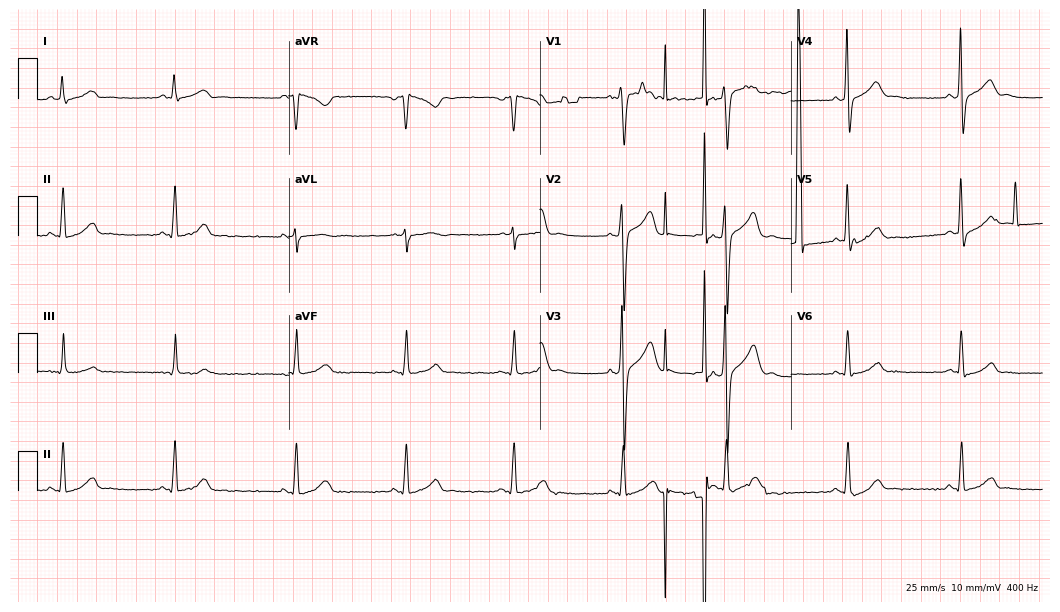
Resting 12-lead electrocardiogram. Patient: a male, 35 years old. None of these six findings is recorded: first-degree AV block, right bundle branch block, left bundle branch block, sinus bradycardia, atrial fibrillation, sinus tachycardia. Findings outside these six are not listed.